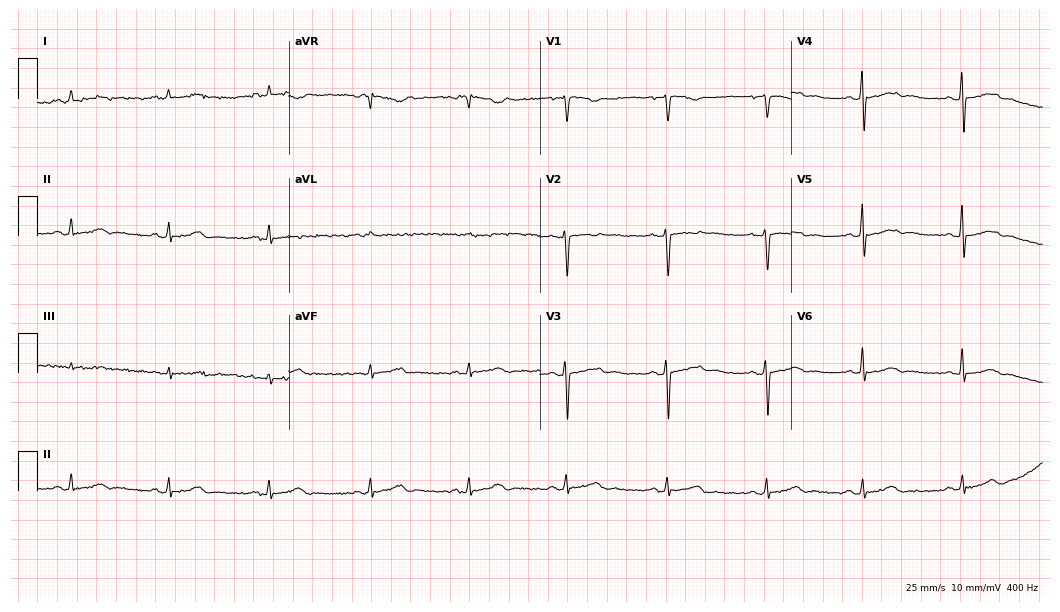
Resting 12-lead electrocardiogram (10.2-second recording at 400 Hz). Patient: a 57-year-old female. None of these six findings is recorded: first-degree AV block, right bundle branch block, left bundle branch block, sinus bradycardia, atrial fibrillation, sinus tachycardia. Only these six findings were labelled.